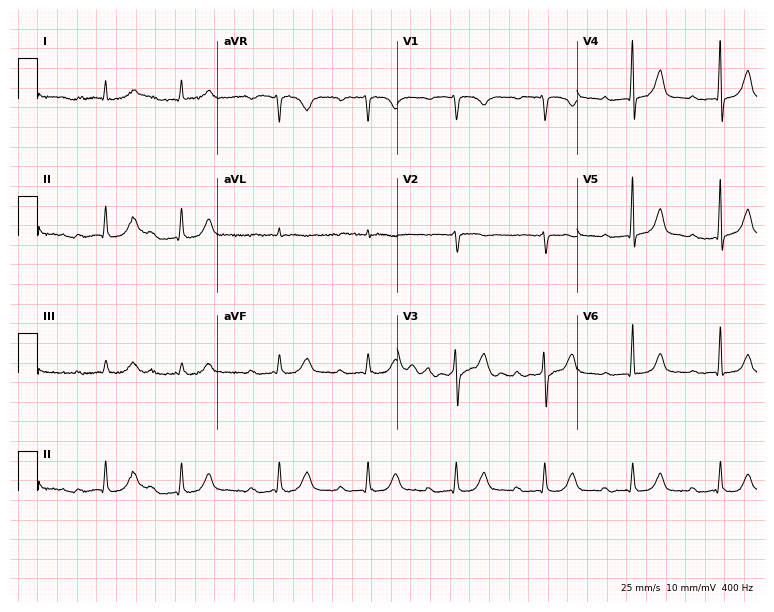
Resting 12-lead electrocardiogram. Patient: a male, 82 years old. The tracing shows first-degree AV block.